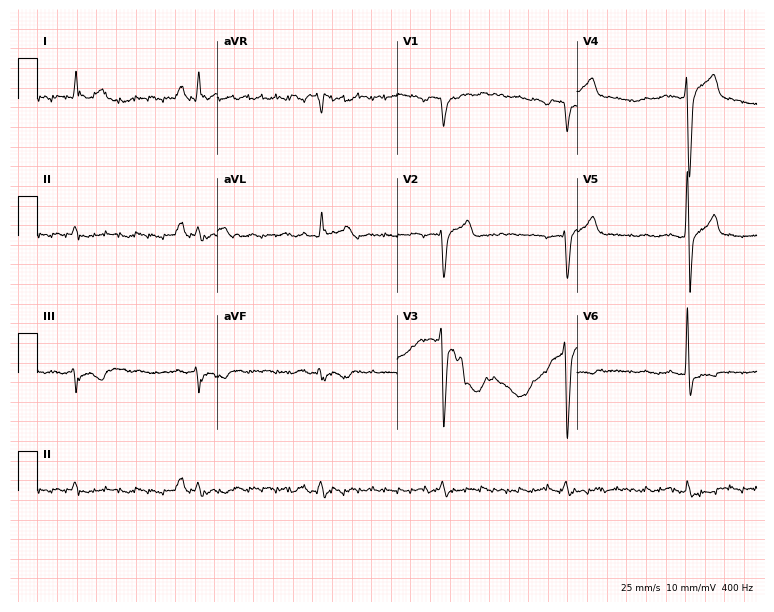
Resting 12-lead electrocardiogram (7.3-second recording at 400 Hz). Patient: a man, 85 years old. None of these six findings is recorded: first-degree AV block, right bundle branch block (RBBB), left bundle branch block (LBBB), sinus bradycardia, atrial fibrillation (AF), sinus tachycardia. Findings outside these six are not listed.